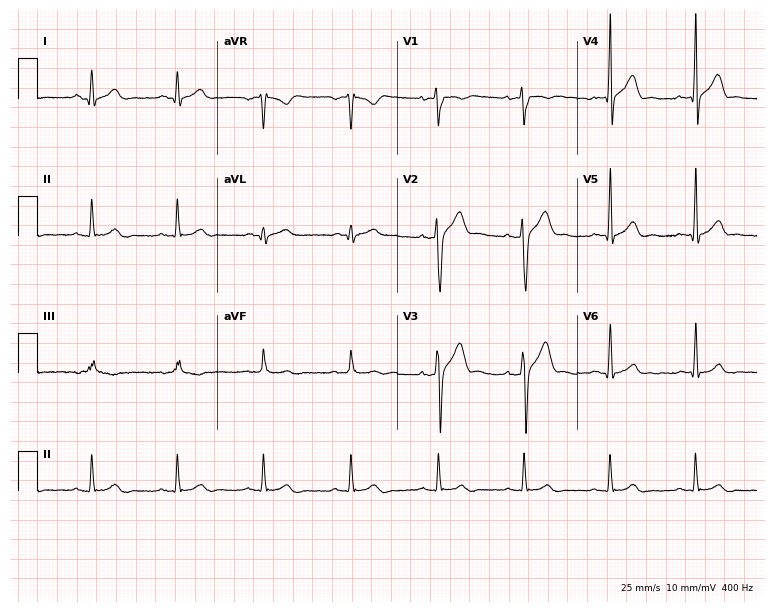
12-lead ECG (7.3-second recording at 400 Hz) from a male, 28 years old. Labelled as a normal ECG.